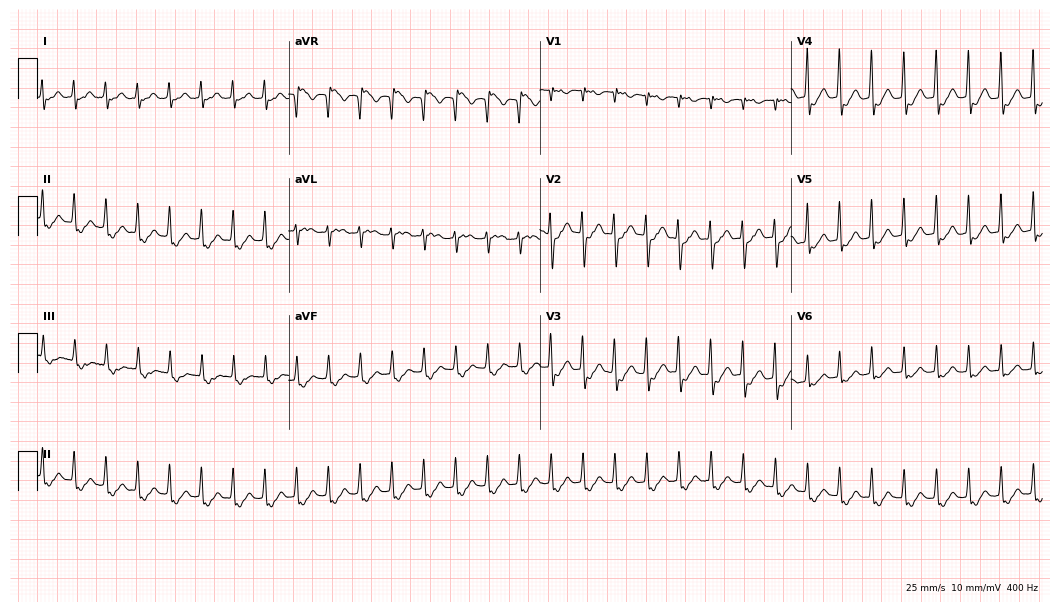
ECG — a female patient, 41 years old. Findings include sinus tachycardia (a sinus rate of 100 beats per minute or more).